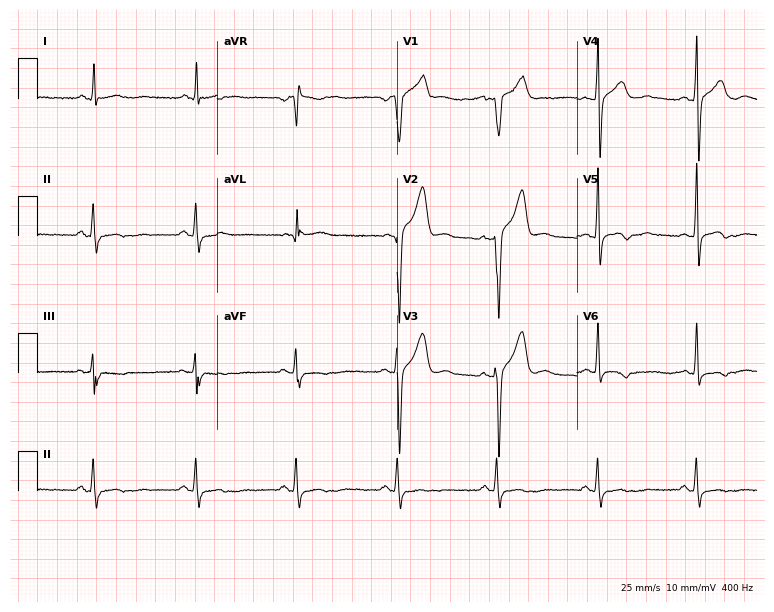
Standard 12-lead ECG recorded from a man, 46 years old (7.3-second recording at 400 Hz). None of these six findings is recorded: first-degree AV block, right bundle branch block, left bundle branch block, sinus bradycardia, atrial fibrillation, sinus tachycardia. Findings outside these six are not listed.